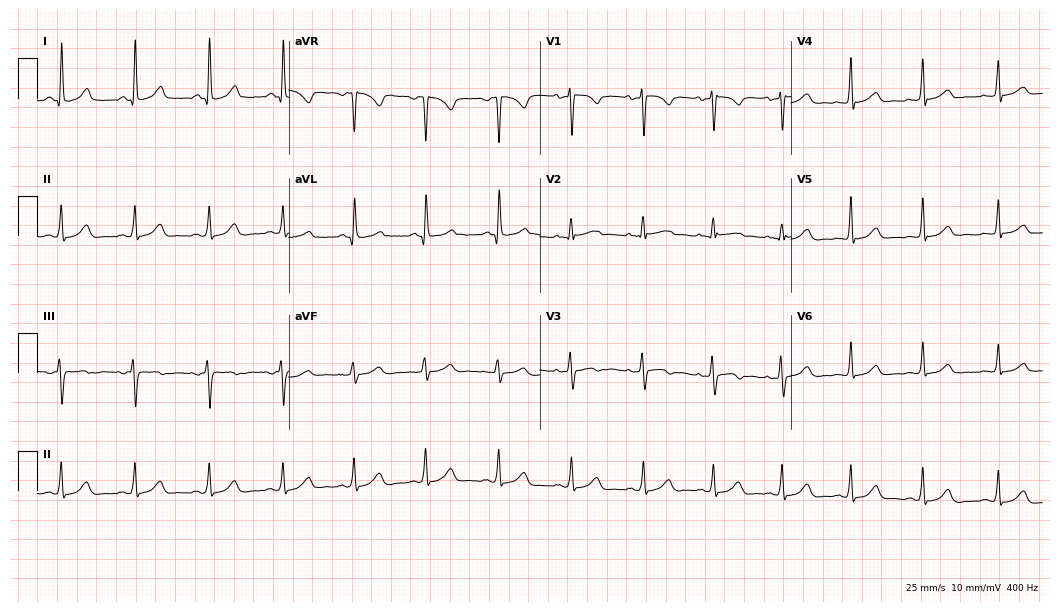
ECG (10.2-second recording at 400 Hz) — a 34-year-old female. Labelled as a normal ECG.